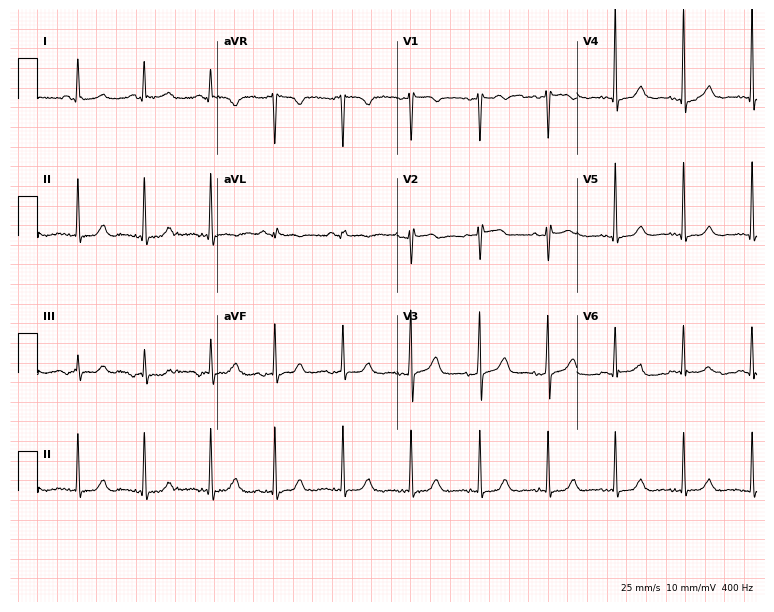
12-lead ECG from a 60-year-old female patient. Labelled as a normal ECG.